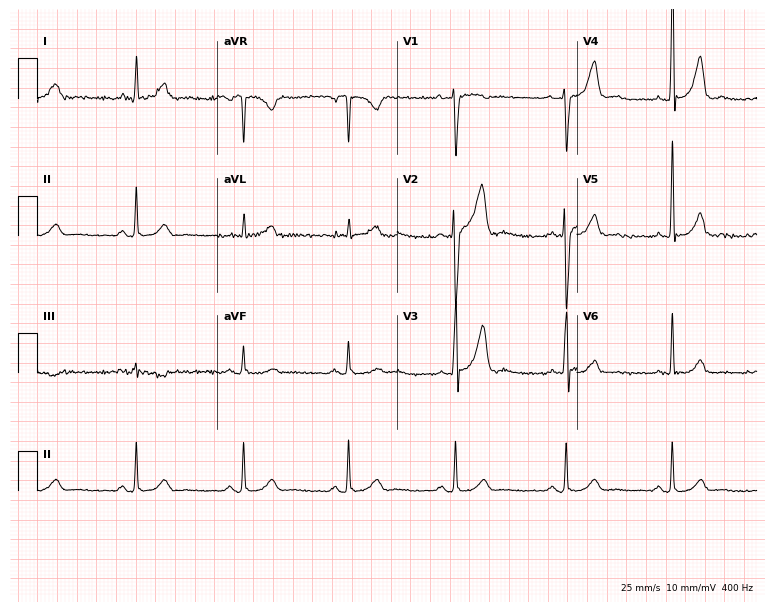
Electrocardiogram, a 57-year-old man. Of the six screened findings (first-degree AV block, right bundle branch block (RBBB), left bundle branch block (LBBB), sinus bradycardia, atrial fibrillation (AF), sinus tachycardia), none is recorded.